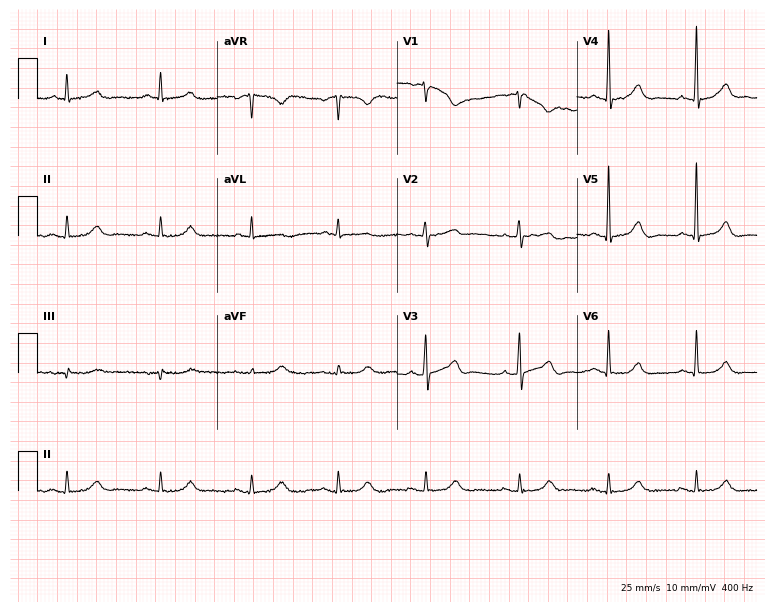
Resting 12-lead electrocardiogram (7.3-second recording at 400 Hz). Patient: a 66-year-old female. Read as a normal ECG.